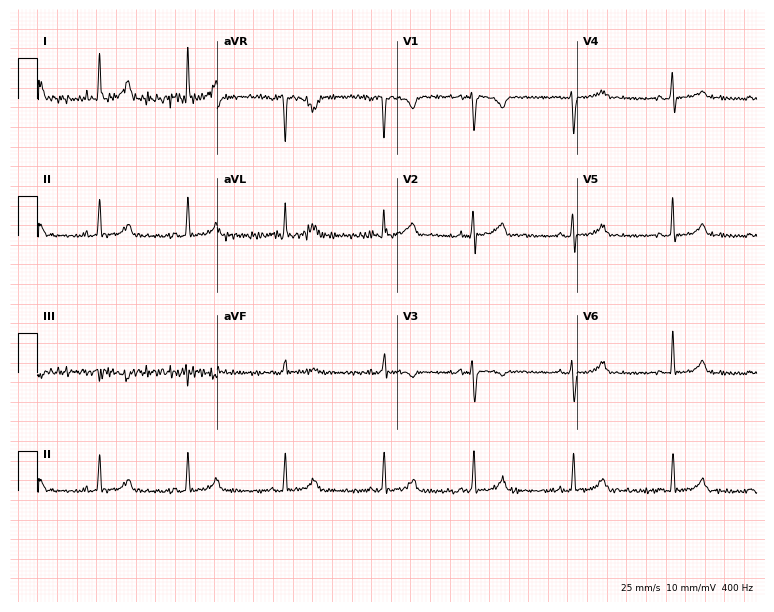
Standard 12-lead ECG recorded from a 32-year-old female. Read as a normal ECG.